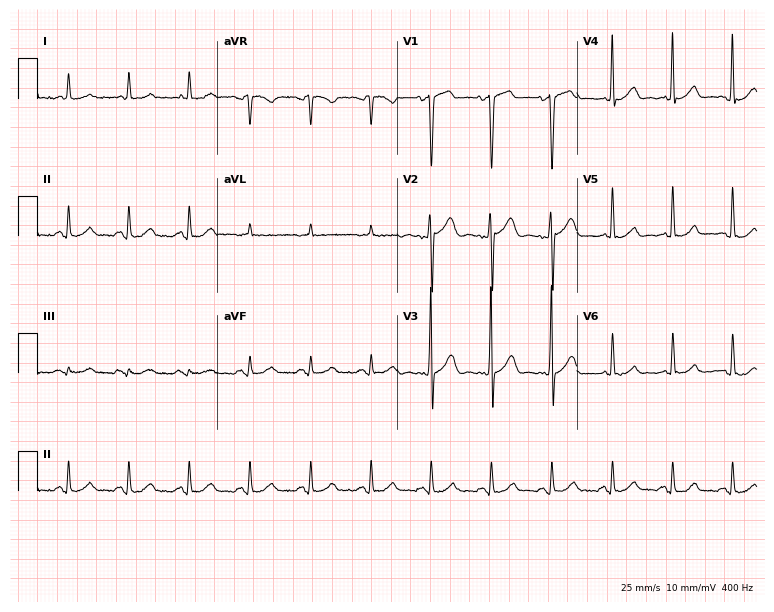
12-lead ECG from a man, 72 years old. Recorded interpretation: within normal limits.